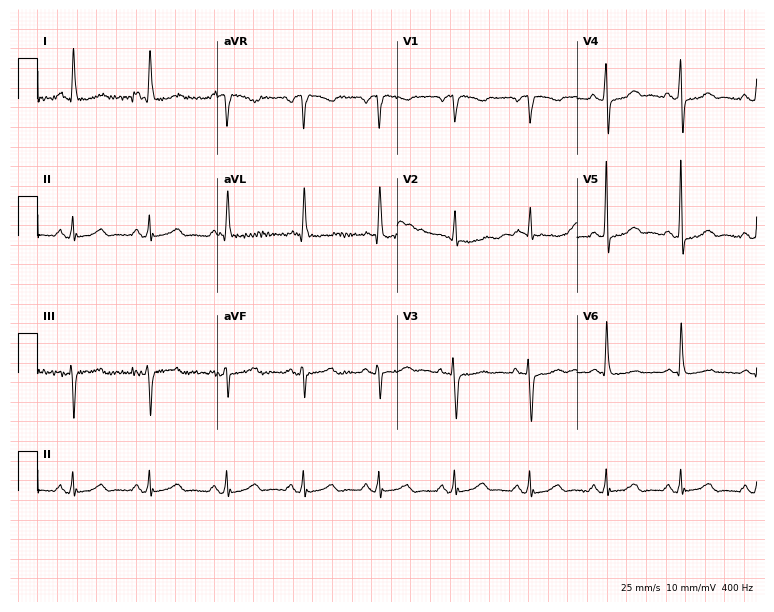
Standard 12-lead ECG recorded from a female, 72 years old (7.3-second recording at 400 Hz). Read as a normal ECG.